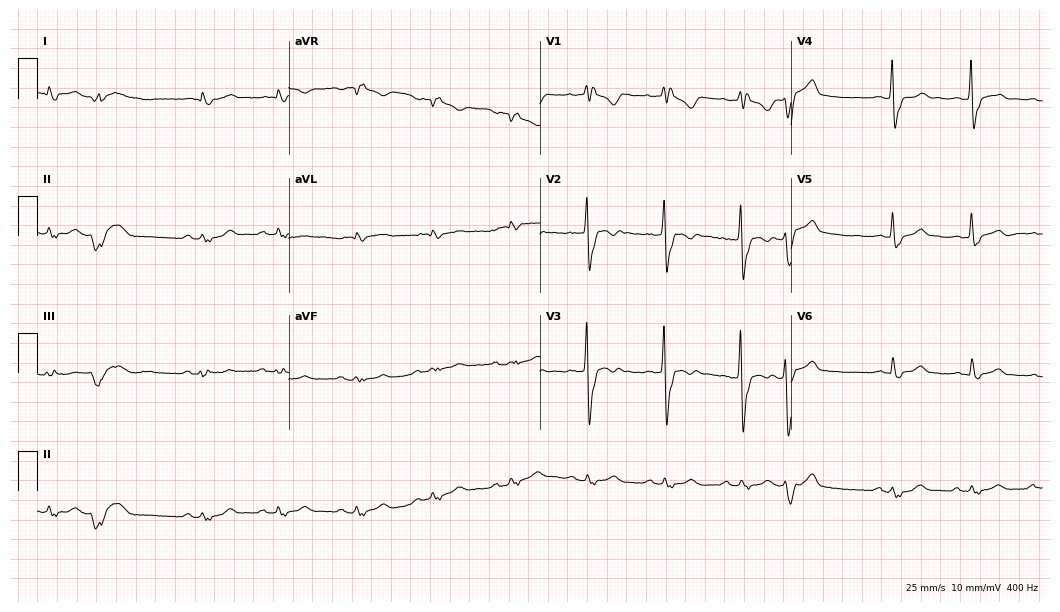
12-lead ECG (10.2-second recording at 400 Hz) from a male, 77 years old. Findings include right bundle branch block.